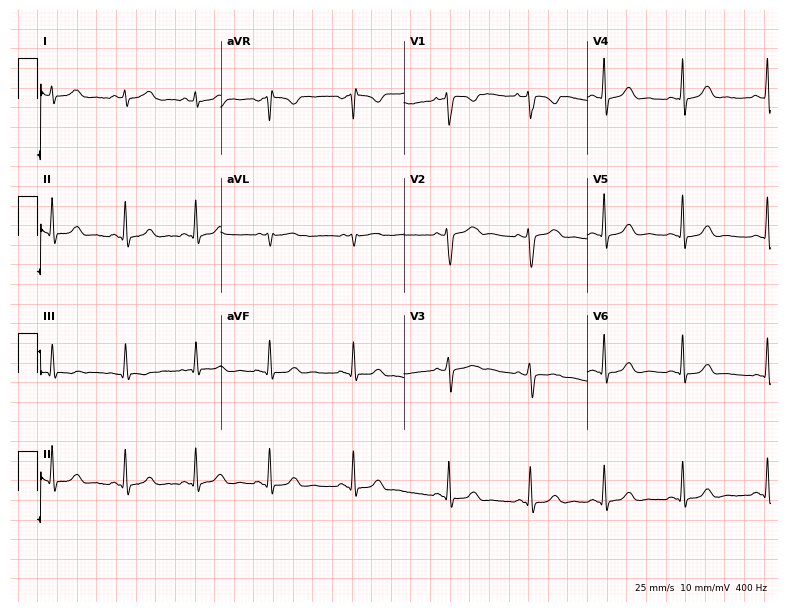
Resting 12-lead electrocardiogram (7.5-second recording at 400 Hz). Patient: a woman, 18 years old. Read as a normal ECG.